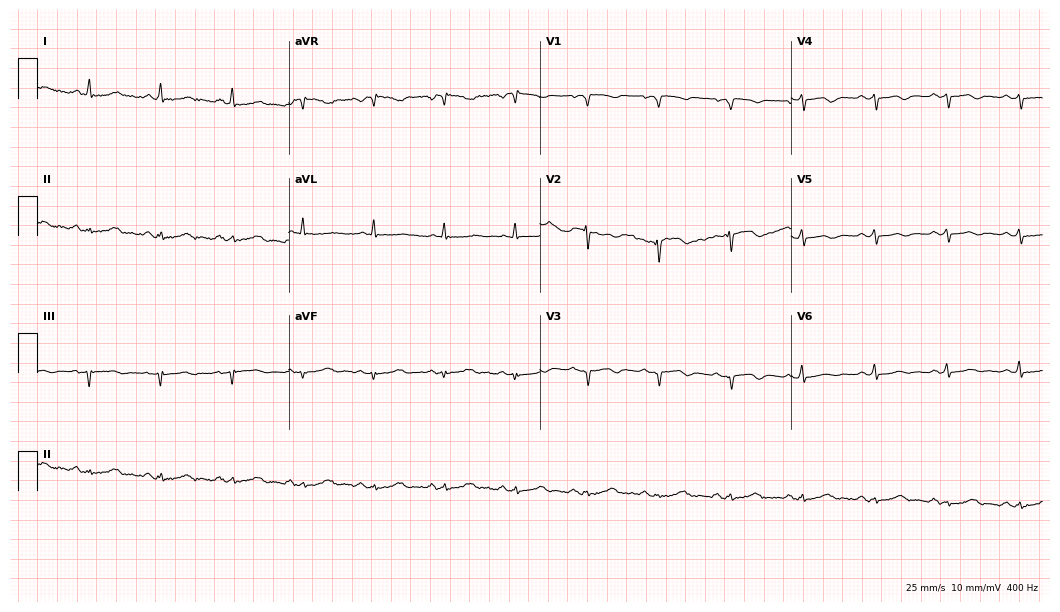
Electrocardiogram (10.2-second recording at 400 Hz), a 65-year-old male patient. Of the six screened findings (first-degree AV block, right bundle branch block (RBBB), left bundle branch block (LBBB), sinus bradycardia, atrial fibrillation (AF), sinus tachycardia), none is recorded. Only these six findings were labelled.